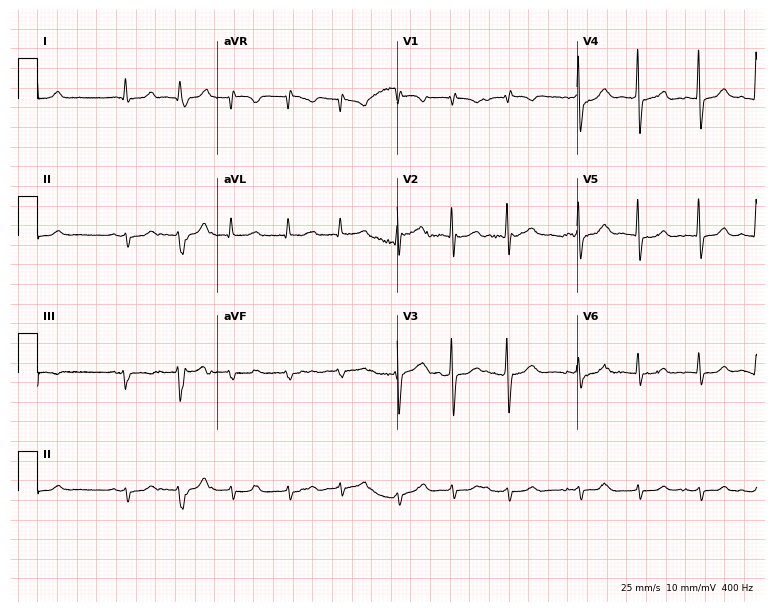
12-lead ECG from an 84-year-old male (7.3-second recording at 400 Hz). No first-degree AV block, right bundle branch block, left bundle branch block, sinus bradycardia, atrial fibrillation or sinus tachycardia recorded for this tracing.